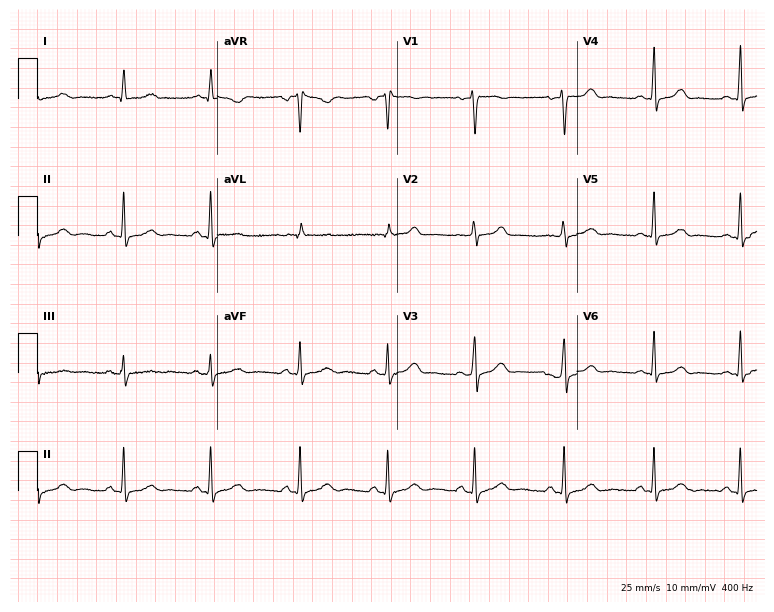
Resting 12-lead electrocardiogram (7.3-second recording at 400 Hz). Patient: a woman, 38 years old. Read as a normal ECG.